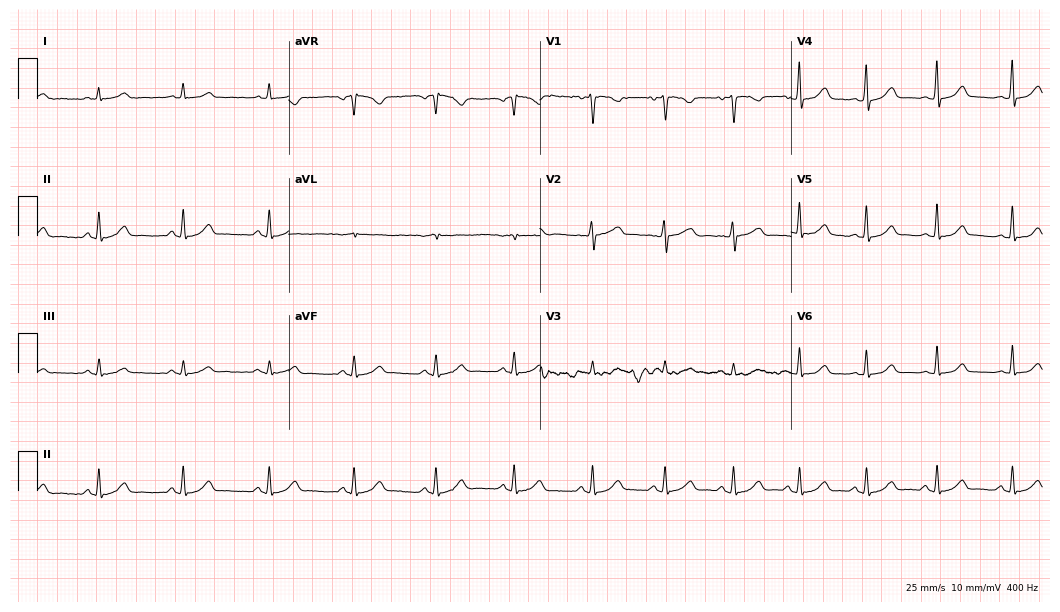
12-lead ECG from a 37-year-old woman. Labelled as a normal ECG.